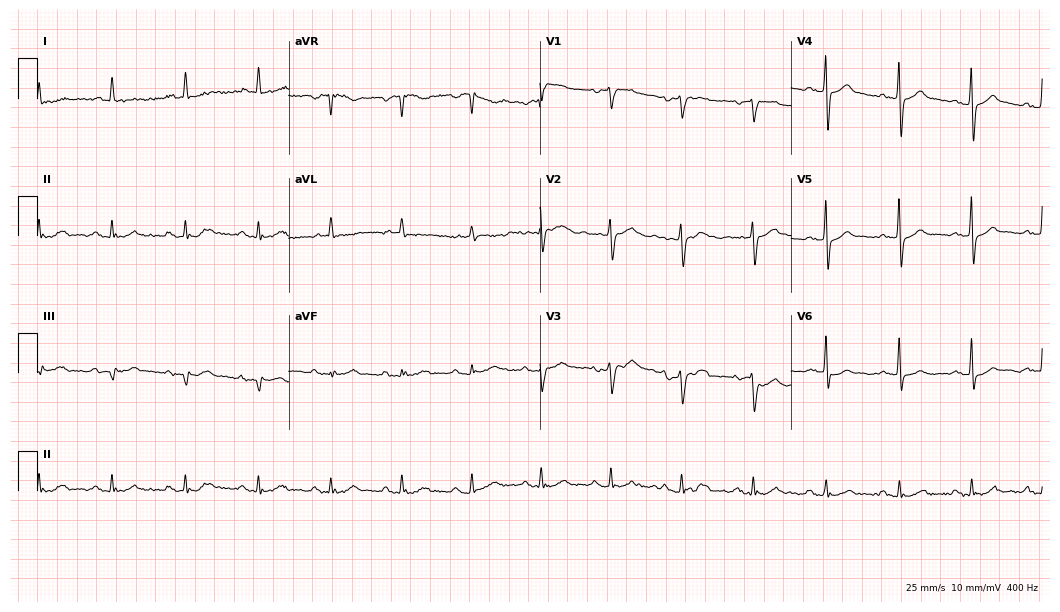
Standard 12-lead ECG recorded from a 77-year-old male (10.2-second recording at 400 Hz). None of these six findings is recorded: first-degree AV block, right bundle branch block, left bundle branch block, sinus bradycardia, atrial fibrillation, sinus tachycardia. Other findings, if any, are not listed.